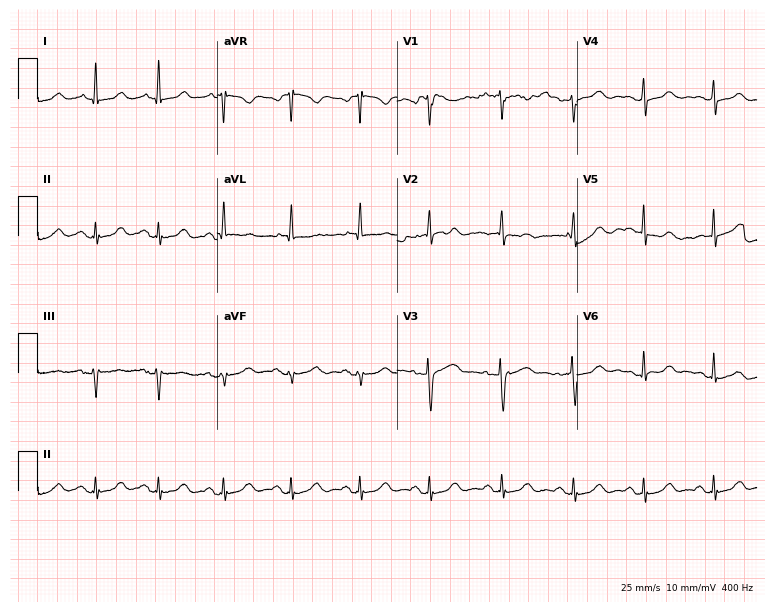
ECG (7.3-second recording at 400 Hz) — a 57-year-old woman. Labelled as a normal ECG.